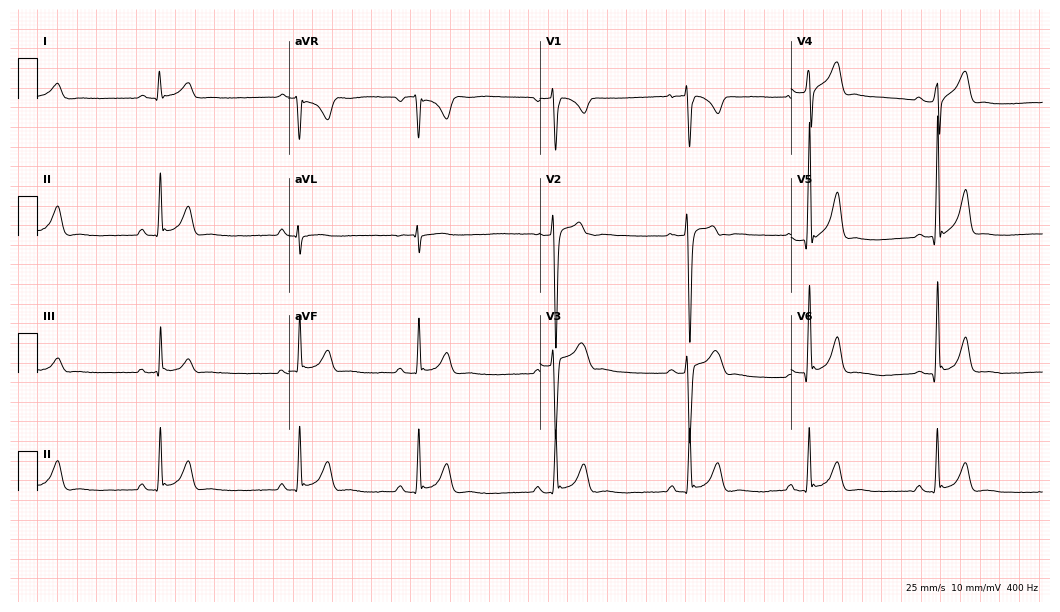
Resting 12-lead electrocardiogram (10.2-second recording at 400 Hz). Patient: a male, 23 years old. The tracing shows sinus bradycardia (a sinus rate of 50 beats per minute or less).